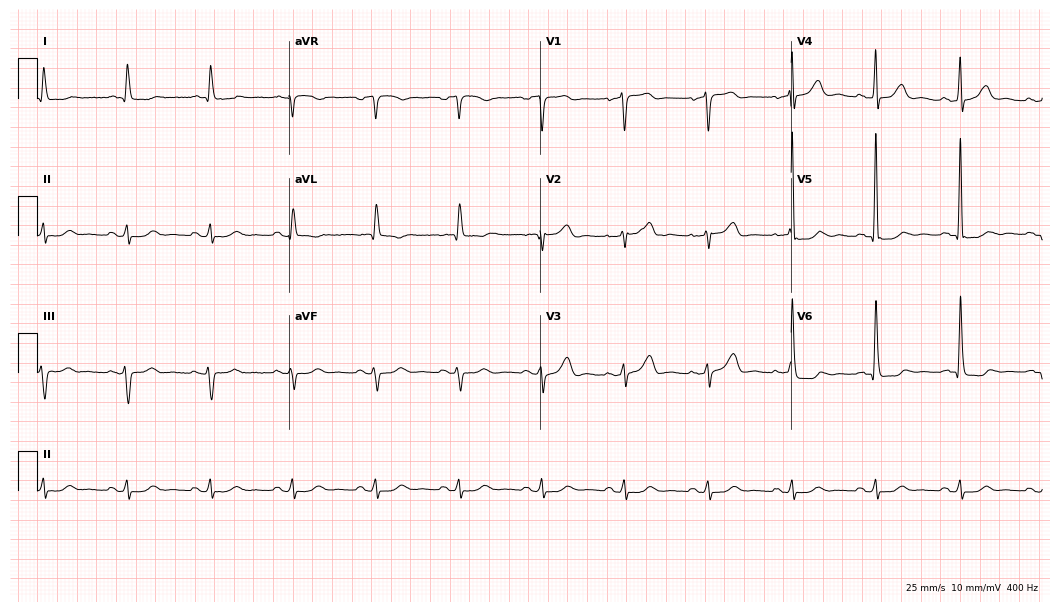
Electrocardiogram (10.2-second recording at 400 Hz), a 76-year-old male patient. Of the six screened findings (first-degree AV block, right bundle branch block (RBBB), left bundle branch block (LBBB), sinus bradycardia, atrial fibrillation (AF), sinus tachycardia), none is recorded. Other findings, if any, are not listed.